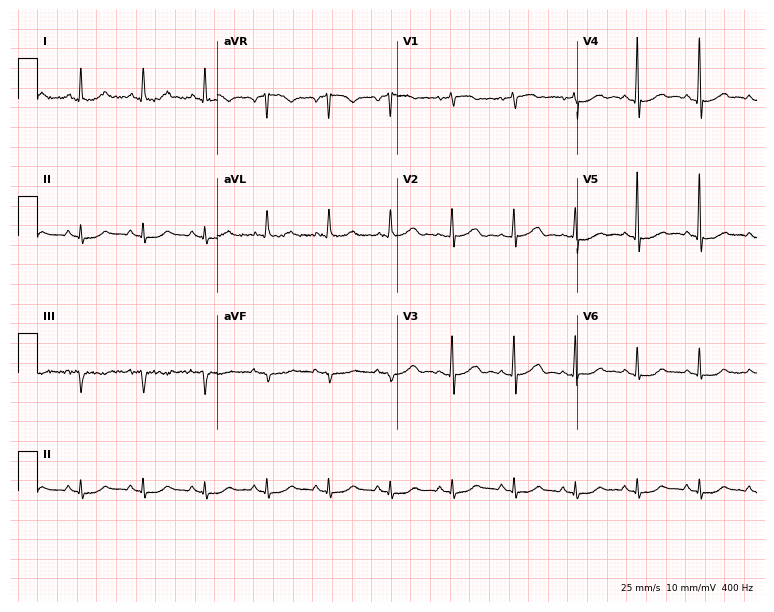
ECG (7.3-second recording at 400 Hz) — a 66-year-old female. Screened for six findings — first-degree AV block, right bundle branch block (RBBB), left bundle branch block (LBBB), sinus bradycardia, atrial fibrillation (AF), sinus tachycardia — none is recorded.